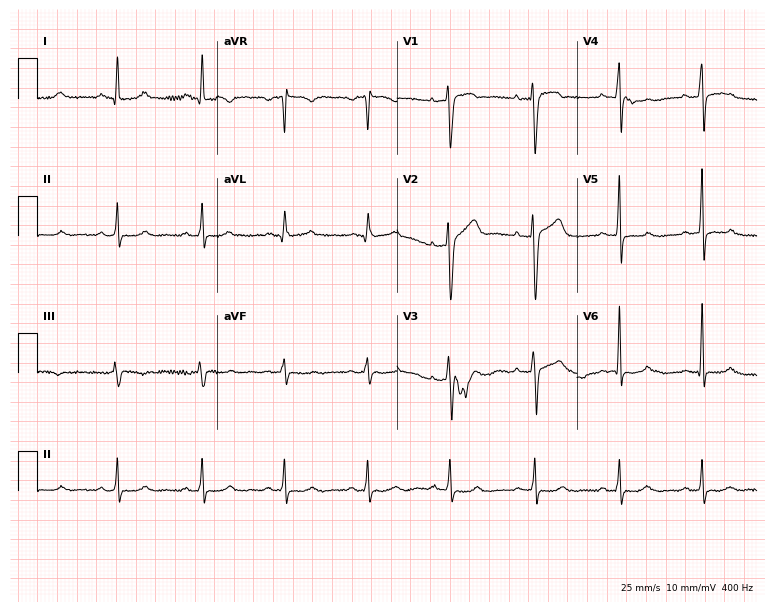
ECG (7.3-second recording at 400 Hz) — a 49-year-old male. Screened for six findings — first-degree AV block, right bundle branch block, left bundle branch block, sinus bradycardia, atrial fibrillation, sinus tachycardia — none is recorded.